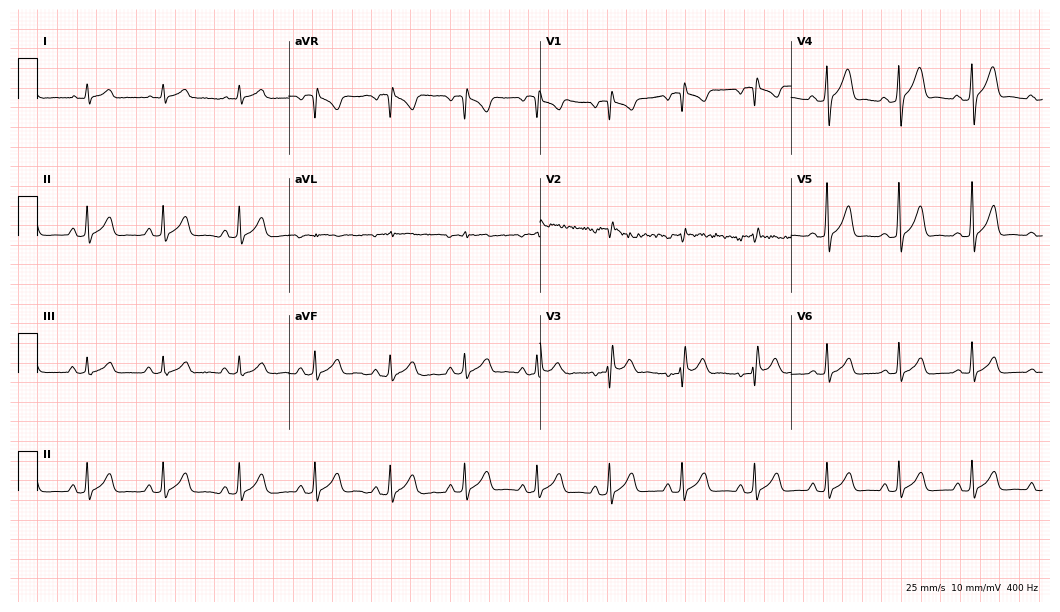
Standard 12-lead ECG recorded from a 27-year-old male patient (10.2-second recording at 400 Hz). Read as a normal ECG.